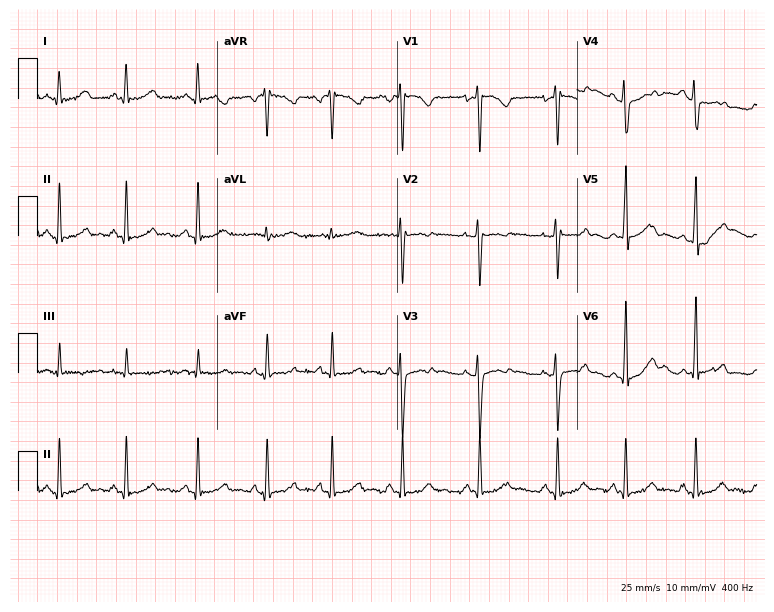
Electrocardiogram, a 24-year-old woman. Overall reading on record: normal ECG.